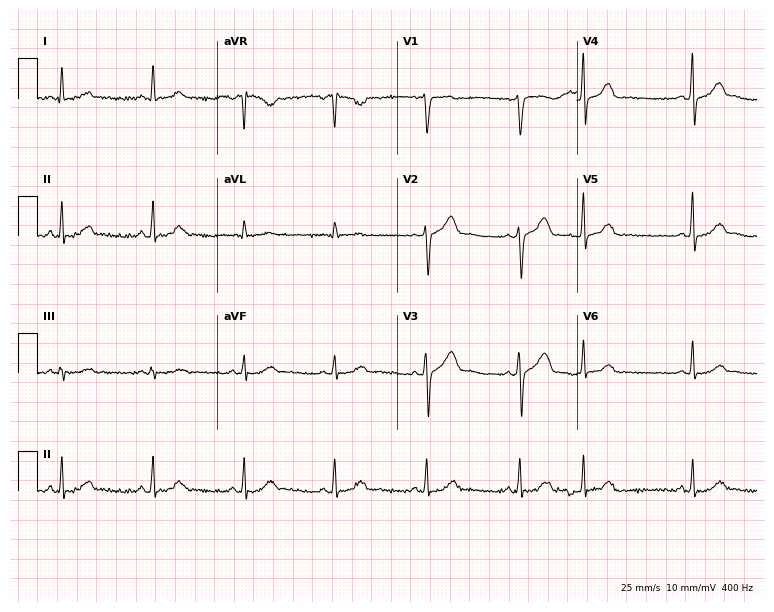
Standard 12-lead ECG recorded from a male, 42 years old. Read as a normal ECG.